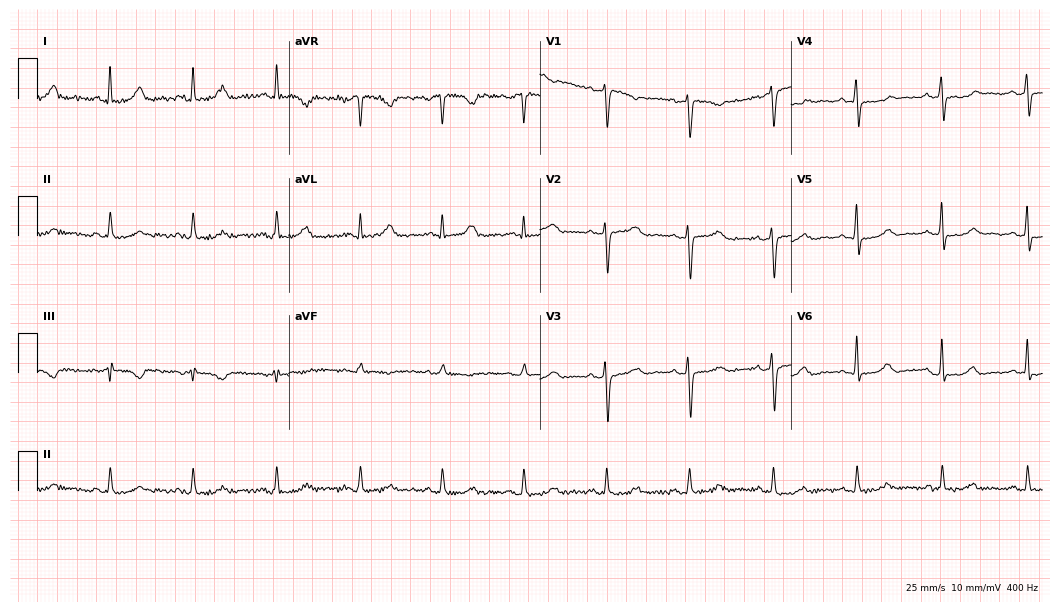
ECG — a 60-year-old female. Labelled as a normal ECG.